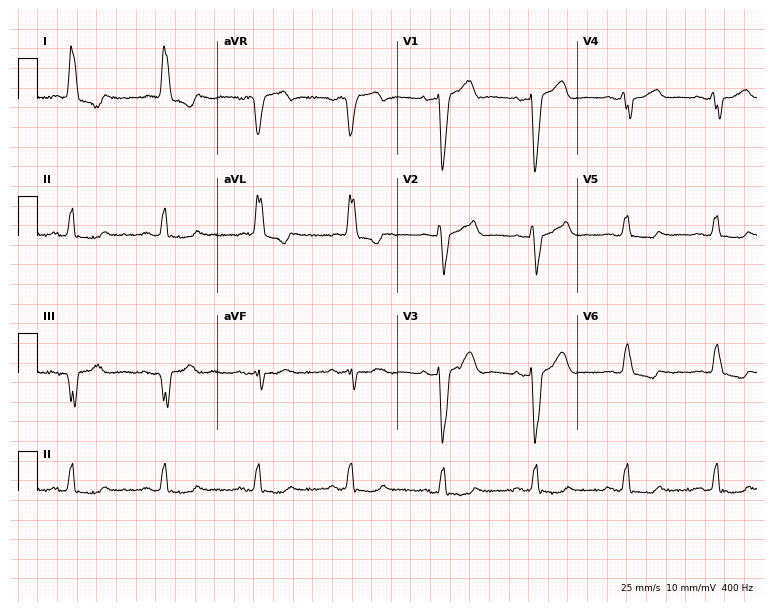
12-lead ECG from a 78-year-old female patient (7.3-second recording at 400 Hz). Shows left bundle branch block.